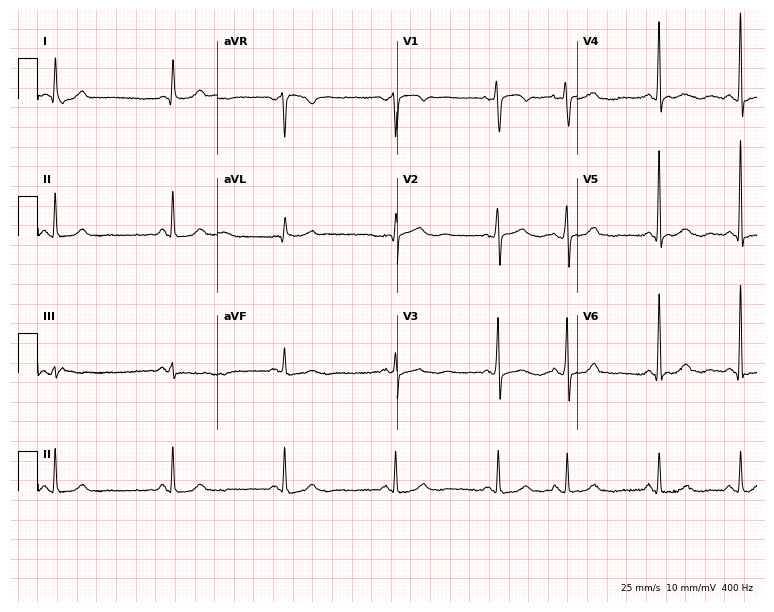
Standard 12-lead ECG recorded from a woman, 71 years old. Read as a normal ECG.